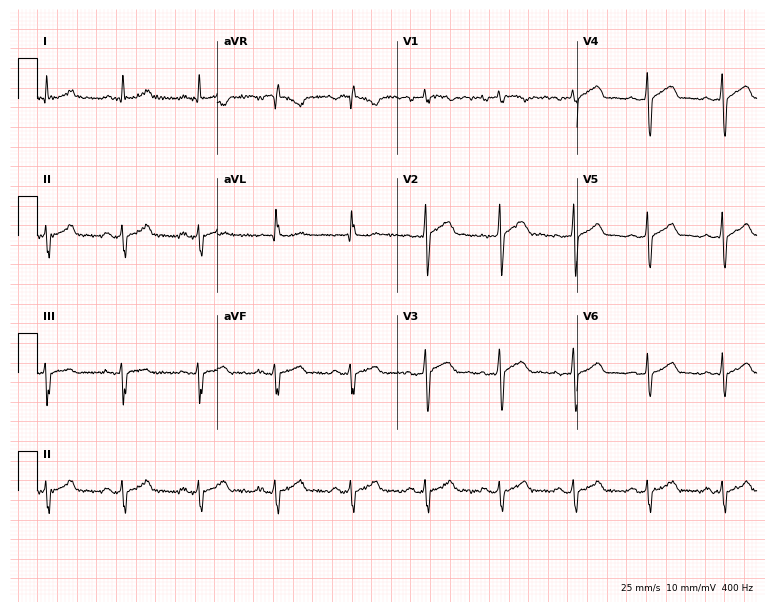
Standard 12-lead ECG recorded from a 54-year-old man. None of these six findings is recorded: first-degree AV block, right bundle branch block, left bundle branch block, sinus bradycardia, atrial fibrillation, sinus tachycardia.